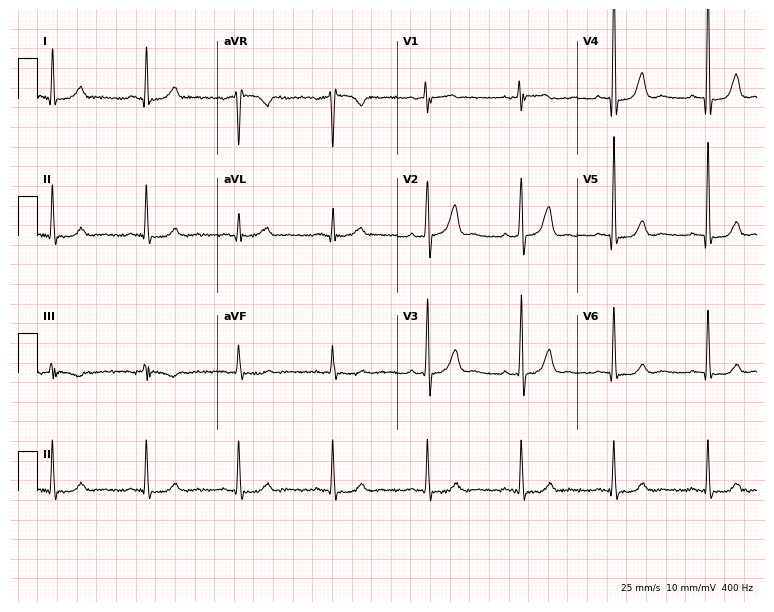
Standard 12-lead ECG recorded from a 52-year-old female. None of these six findings is recorded: first-degree AV block, right bundle branch block, left bundle branch block, sinus bradycardia, atrial fibrillation, sinus tachycardia. Findings outside these six are not listed.